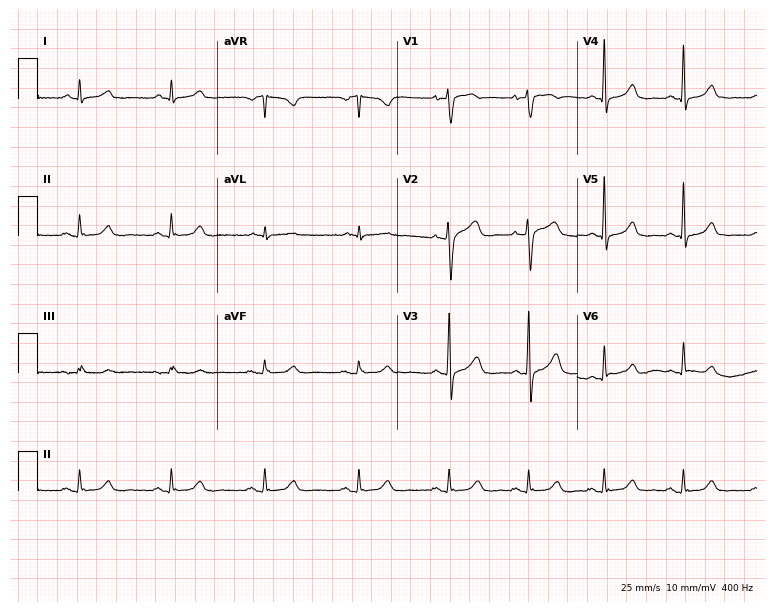
12-lead ECG (7.3-second recording at 400 Hz) from a 58-year-old female patient. Labelled as a normal ECG.